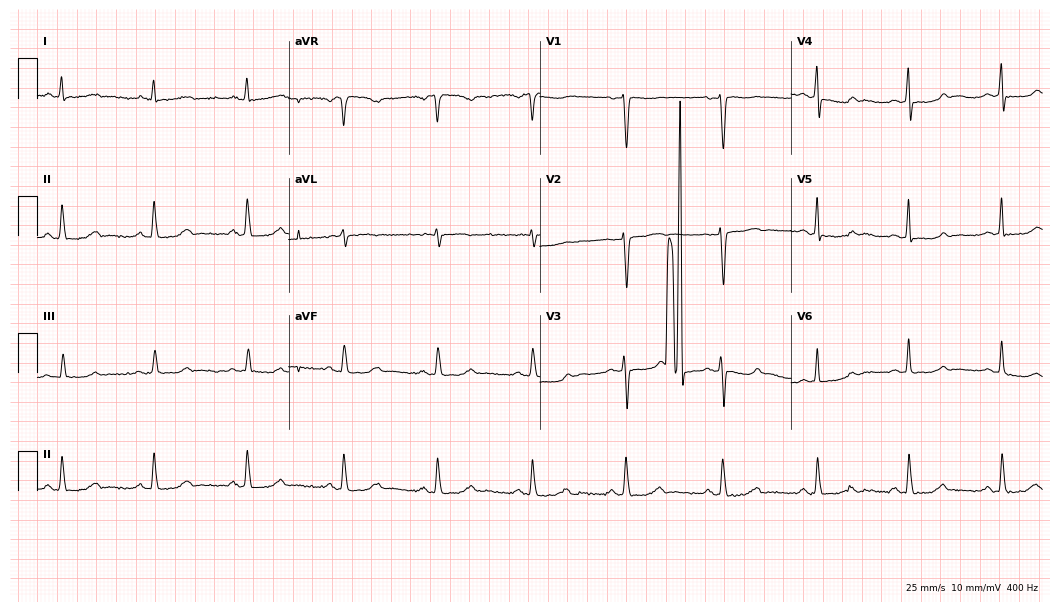
Electrocardiogram, a 48-year-old woman. Overall reading on record: normal ECG.